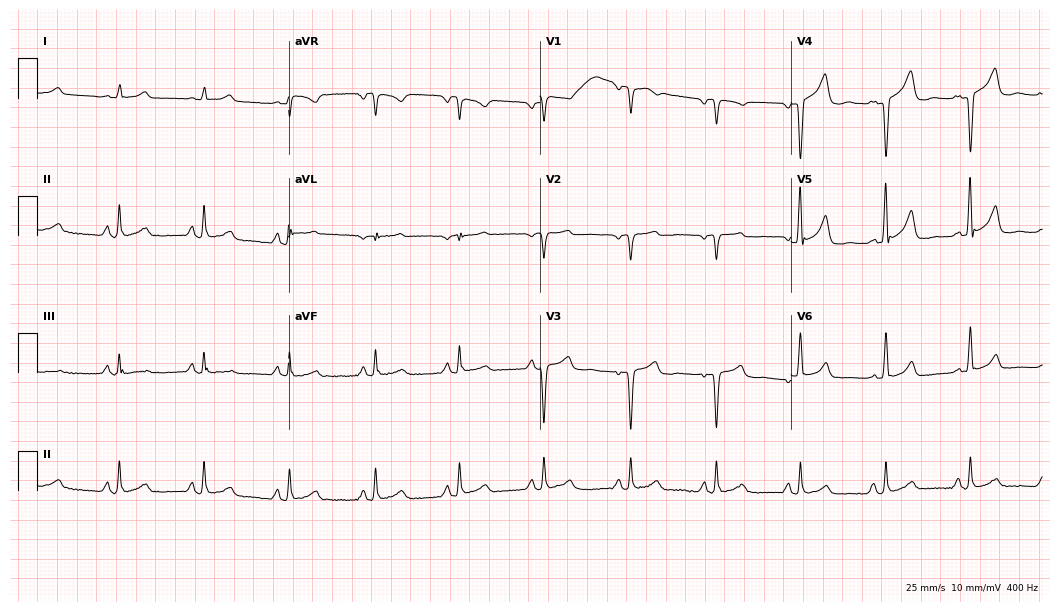
12-lead ECG from a man, 63 years old. No first-degree AV block, right bundle branch block (RBBB), left bundle branch block (LBBB), sinus bradycardia, atrial fibrillation (AF) or sinus tachycardia recorded for this tracing.